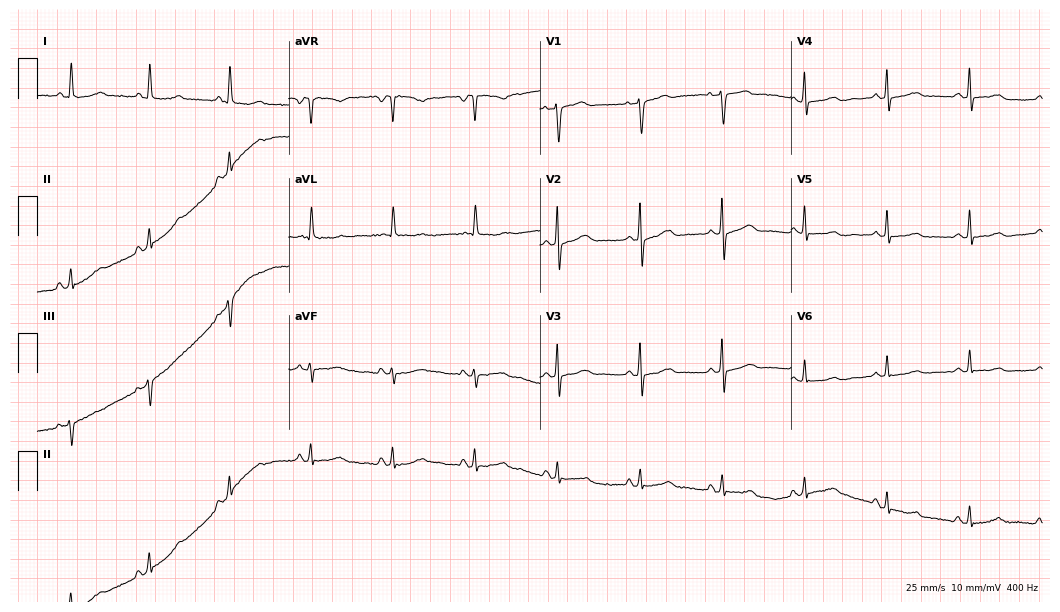
12-lead ECG from a 68-year-old female patient. No first-degree AV block, right bundle branch block, left bundle branch block, sinus bradycardia, atrial fibrillation or sinus tachycardia recorded for this tracing.